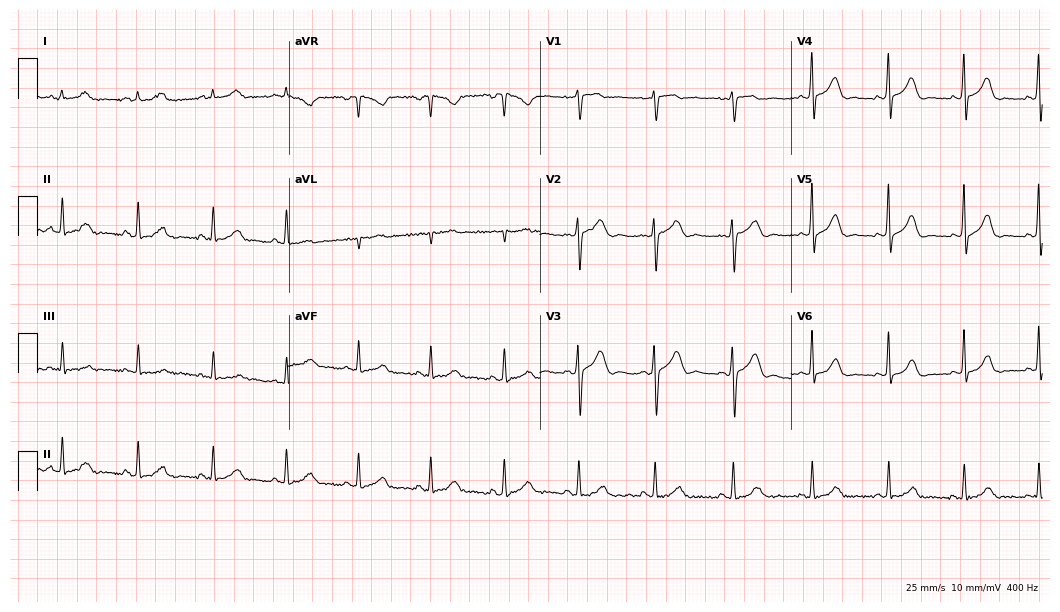
12-lead ECG from a female patient, 50 years old. Labelled as a normal ECG.